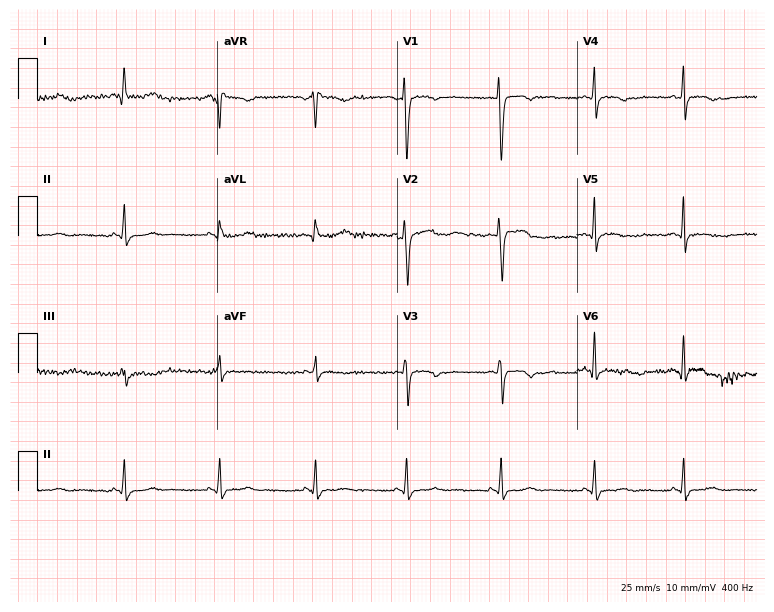
Electrocardiogram, a woman, 40 years old. Overall reading on record: normal ECG.